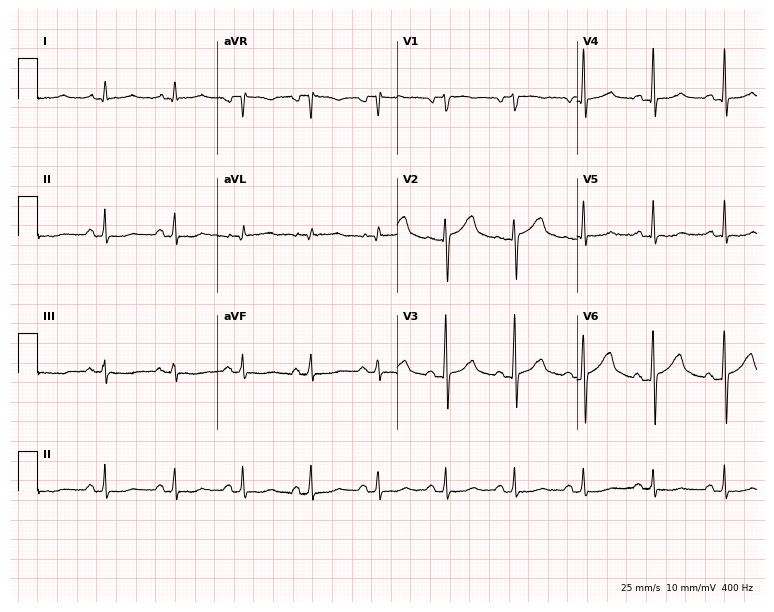
12-lead ECG (7.3-second recording at 400 Hz) from a male, 50 years old. Screened for six findings — first-degree AV block, right bundle branch block, left bundle branch block, sinus bradycardia, atrial fibrillation, sinus tachycardia — none is recorded.